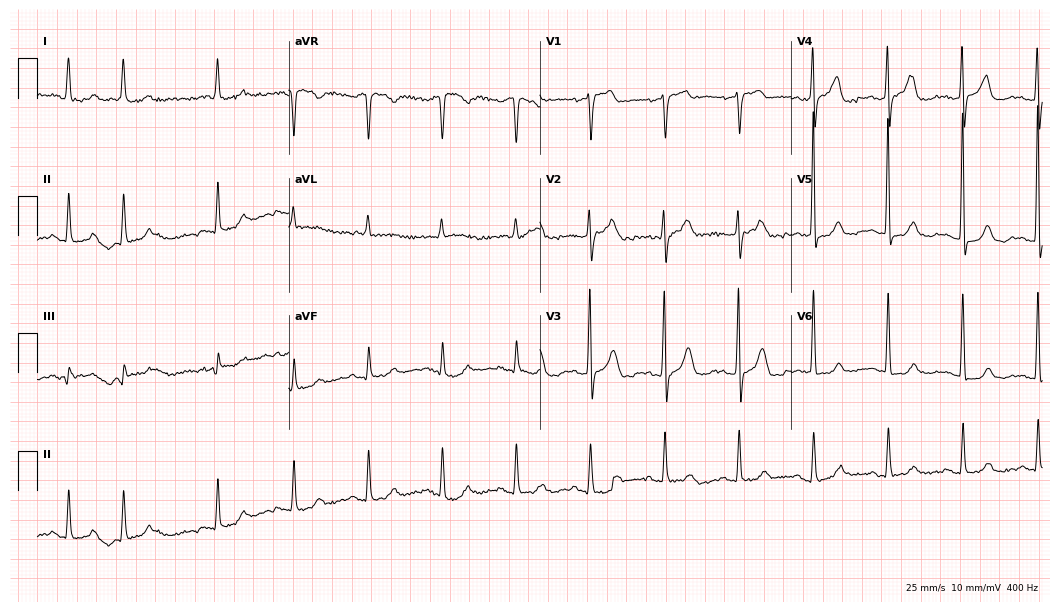
Electrocardiogram, a 75-year-old woman. Of the six screened findings (first-degree AV block, right bundle branch block, left bundle branch block, sinus bradycardia, atrial fibrillation, sinus tachycardia), none is recorded. Other findings, if any, are not listed.